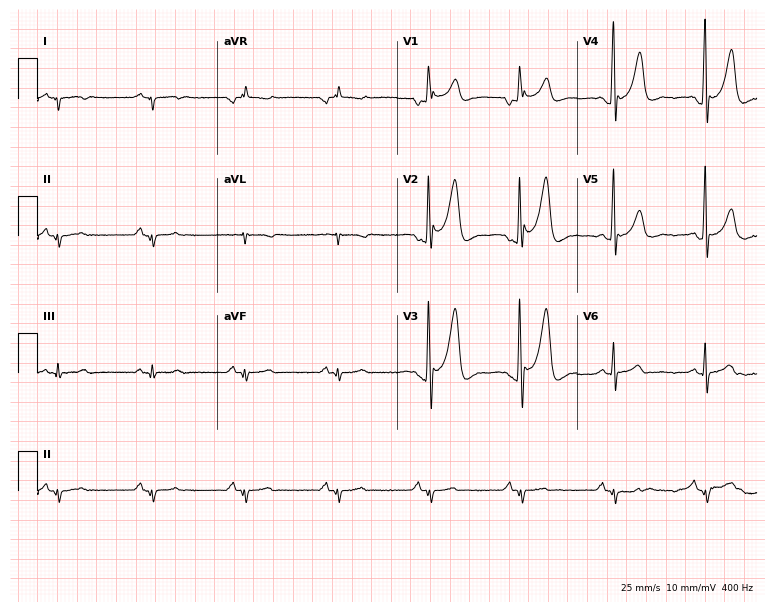
Electrocardiogram (7.3-second recording at 400 Hz), a male patient, 55 years old. Of the six screened findings (first-degree AV block, right bundle branch block (RBBB), left bundle branch block (LBBB), sinus bradycardia, atrial fibrillation (AF), sinus tachycardia), none is recorded. Findings outside these six are not listed.